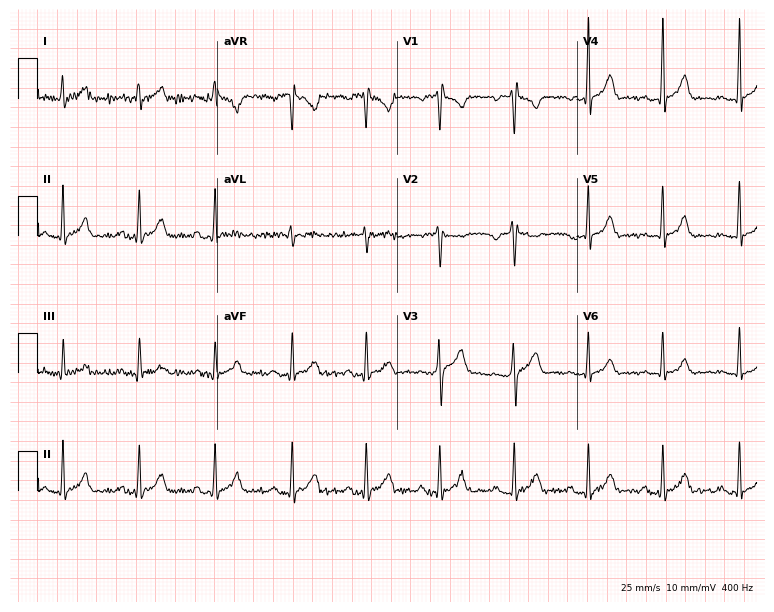
Electrocardiogram, a male, 25 years old. Of the six screened findings (first-degree AV block, right bundle branch block (RBBB), left bundle branch block (LBBB), sinus bradycardia, atrial fibrillation (AF), sinus tachycardia), none is recorded. Only these six findings were labelled.